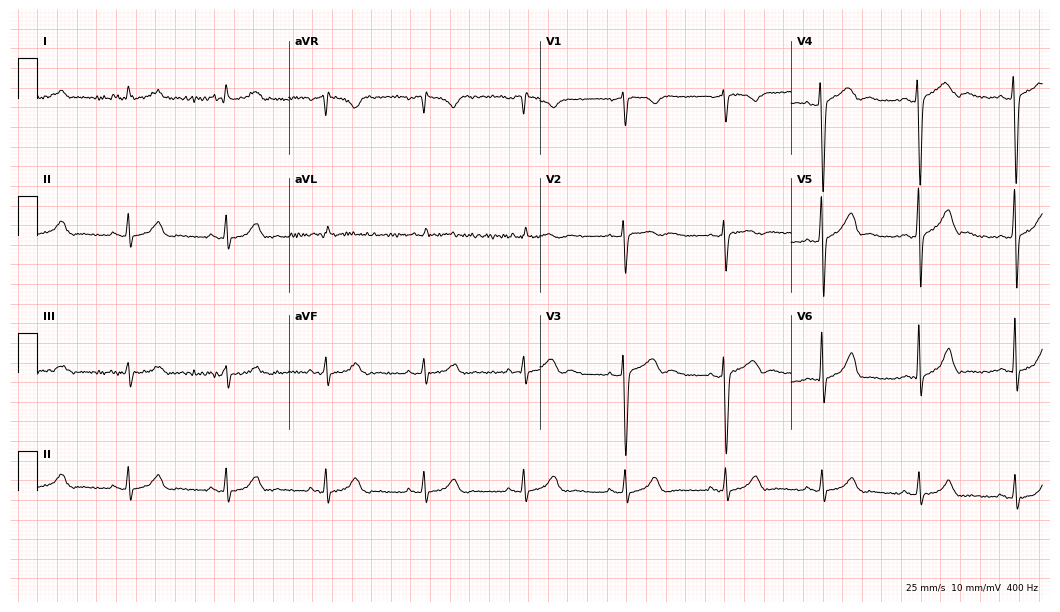
Standard 12-lead ECG recorded from a man, 43 years old (10.2-second recording at 400 Hz). Read as a normal ECG.